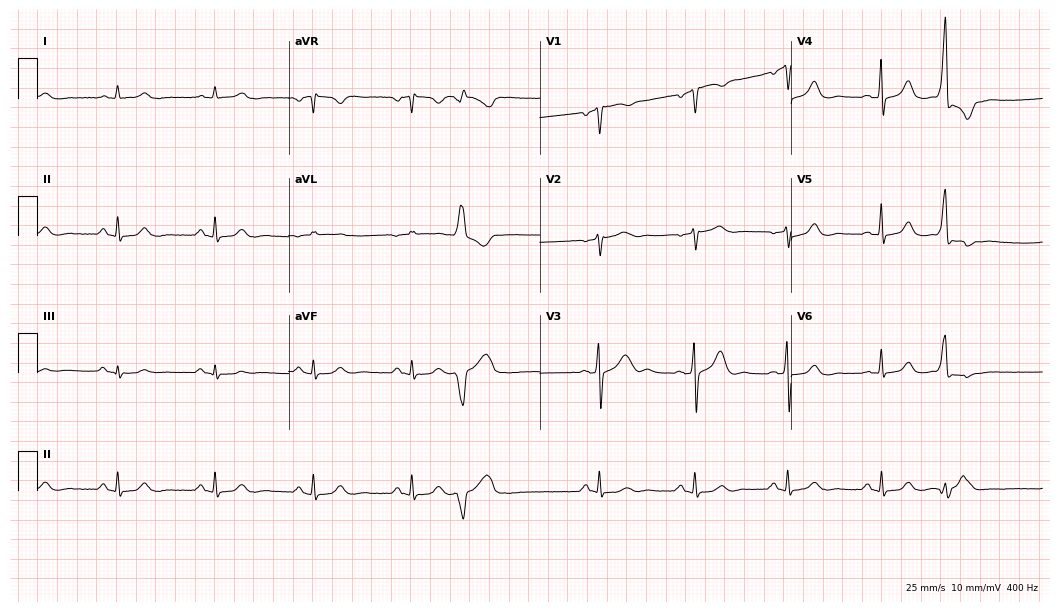
Electrocardiogram, a man, 68 years old. Of the six screened findings (first-degree AV block, right bundle branch block, left bundle branch block, sinus bradycardia, atrial fibrillation, sinus tachycardia), none is recorded. Findings outside these six are not listed.